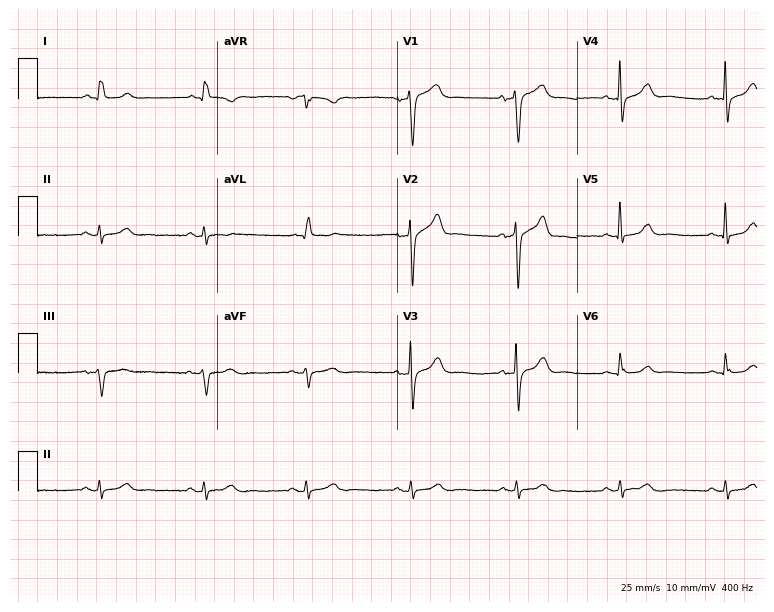
Resting 12-lead electrocardiogram (7.3-second recording at 400 Hz). Patient: an 84-year-old man. Read as a normal ECG.